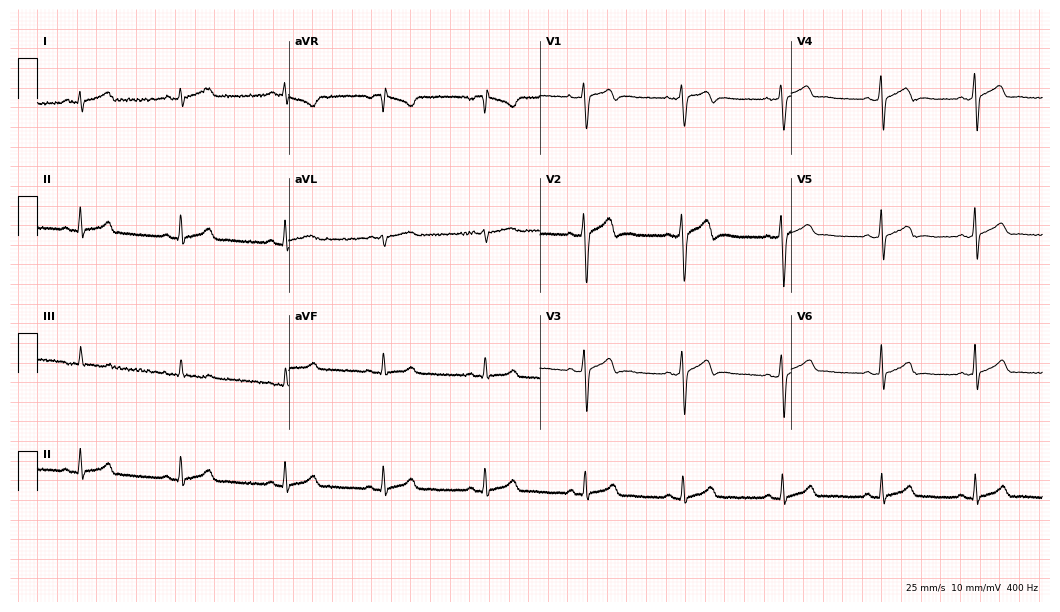
Electrocardiogram, an 18-year-old man. Of the six screened findings (first-degree AV block, right bundle branch block (RBBB), left bundle branch block (LBBB), sinus bradycardia, atrial fibrillation (AF), sinus tachycardia), none is recorded. Findings outside these six are not listed.